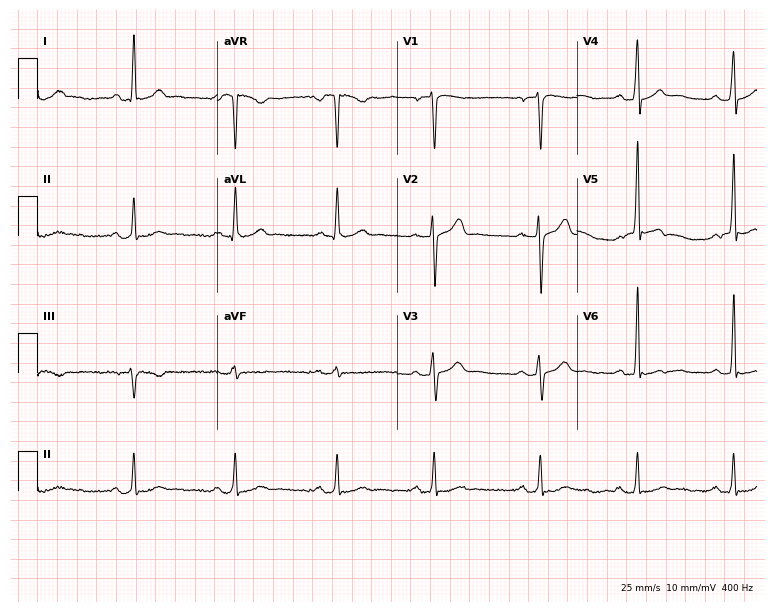
Resting 12-lead electrocardiogram (7.3-second recording at 400 Hz). Patient: a 27-year-old male. None of these six findings is recorded: first-degree AV block, right bundle branch block (RBBB), left bundle branch block (LBBB), sinus bradycardia, atrial fibrillation (AF), sinus tachycardia.